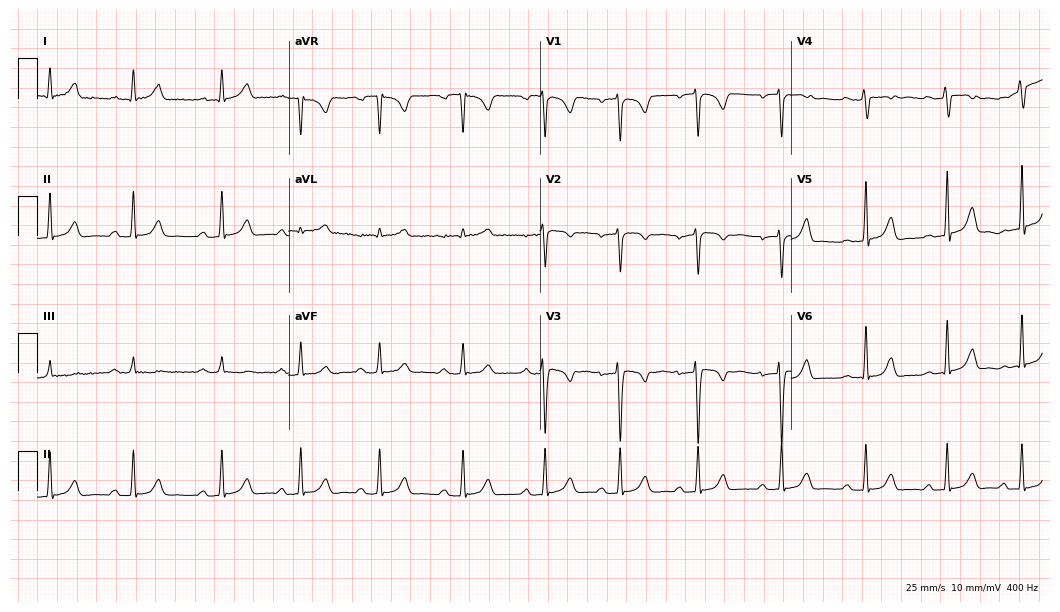
ECG (10.2-second recording at 400 Hz) — a 23-year-old woman. Labelled as a normal ECG.